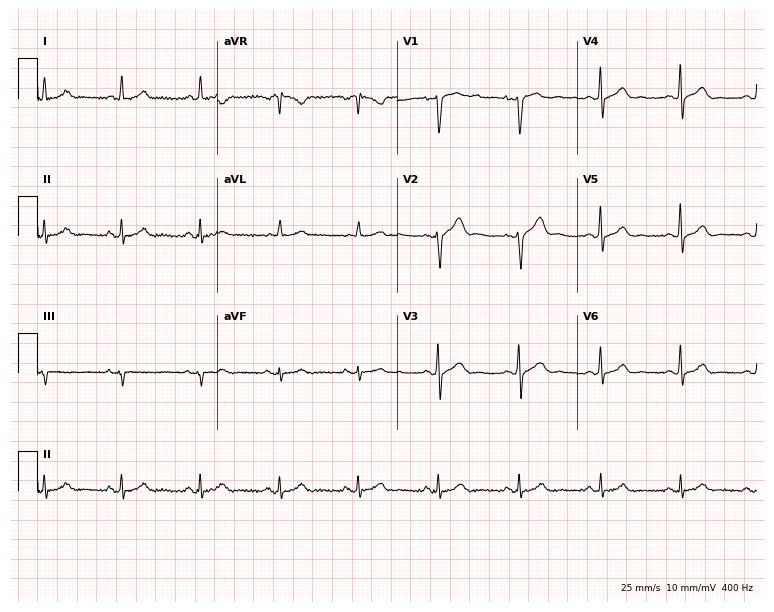
Resting 12-lead electrocardiogram. Patient: a 51-year-old male. None of these six findings is recorded: first-degree AV block, right bundle branch block, left bundle branch block, sinus bradycardia, atrial fibrillation, sinus tachycardia.